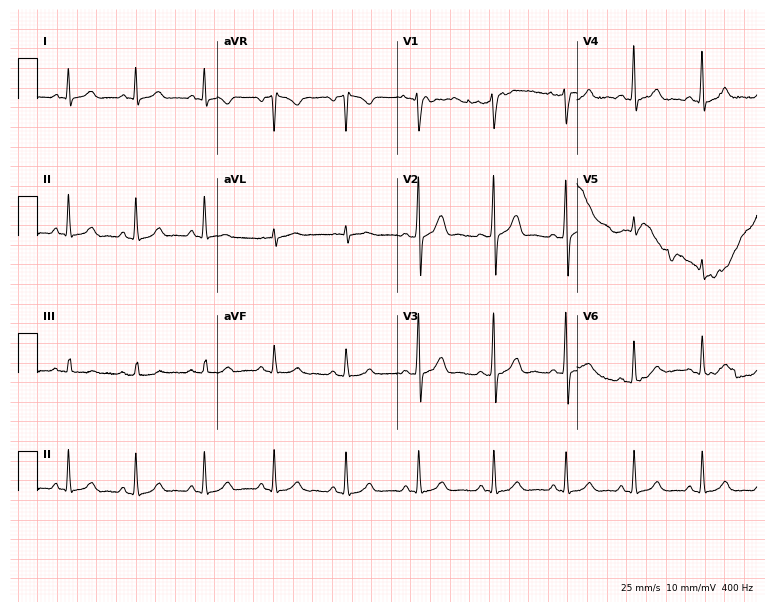
12-lead ECG from a 44-year-old man. Labelled as a normal ECG.